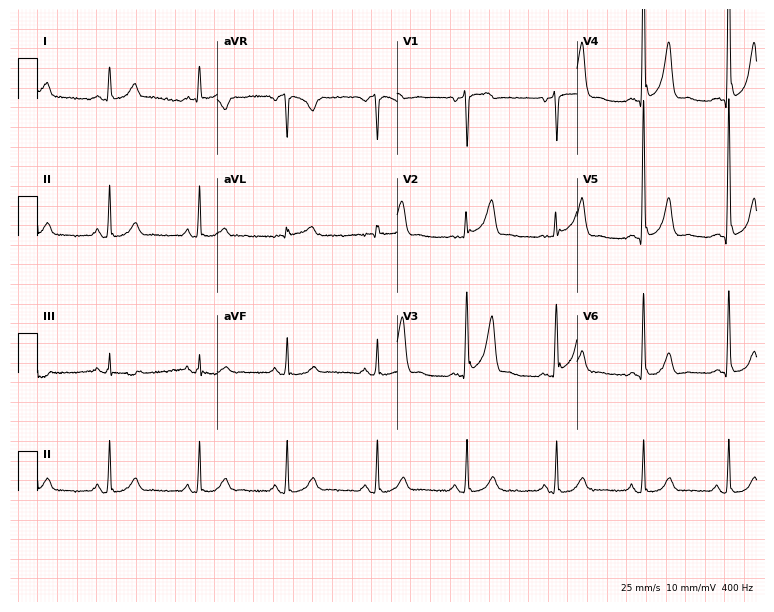
Electrocardiogram (7.3-second recording at 400 Hz), a male, 66 years old. Overall reading on record: normal ECG.